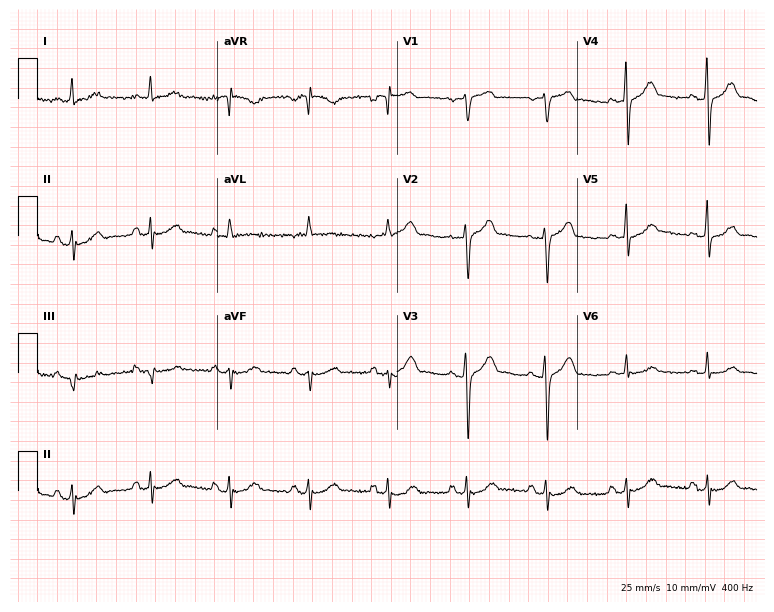
Resting 12-lead electrocardiogram. Patient: a male, 64 years old. None of these six findings is recorded: first-degree AV block, right bundle branch block, left bundle branch block, sinus bradycardia, atrial fibrillation, sinus tachycardia.